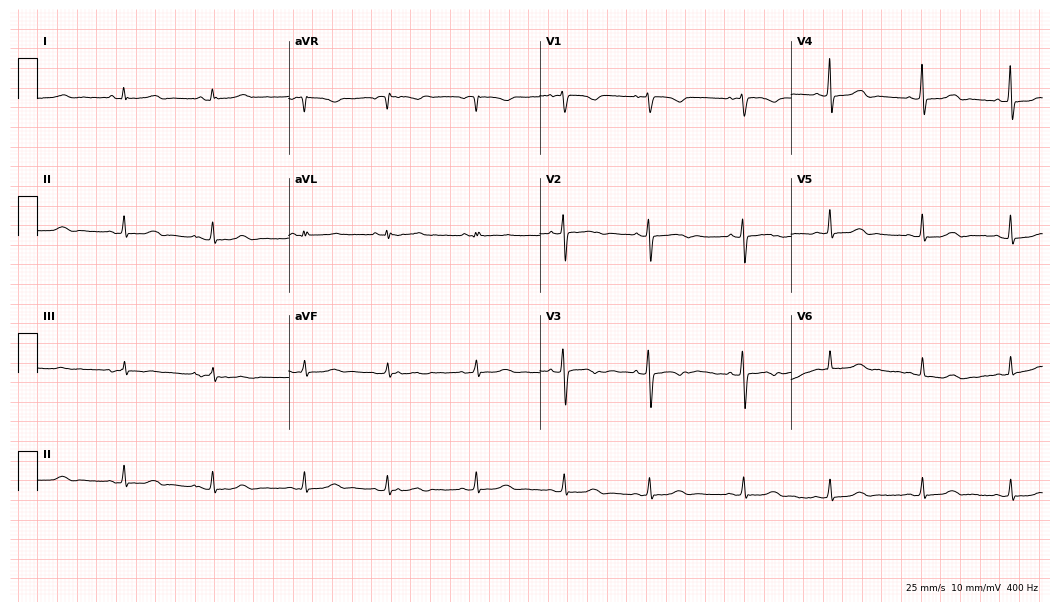
ECG (10.2-second recording at 400 Hz) — a 36-year-old woman. Screened for six findings — first-degree AV block, right bundle branch block, left bundle branch block, sinus bradycardia, atrial fibrillation, sinus tachycardia — none is recorded.